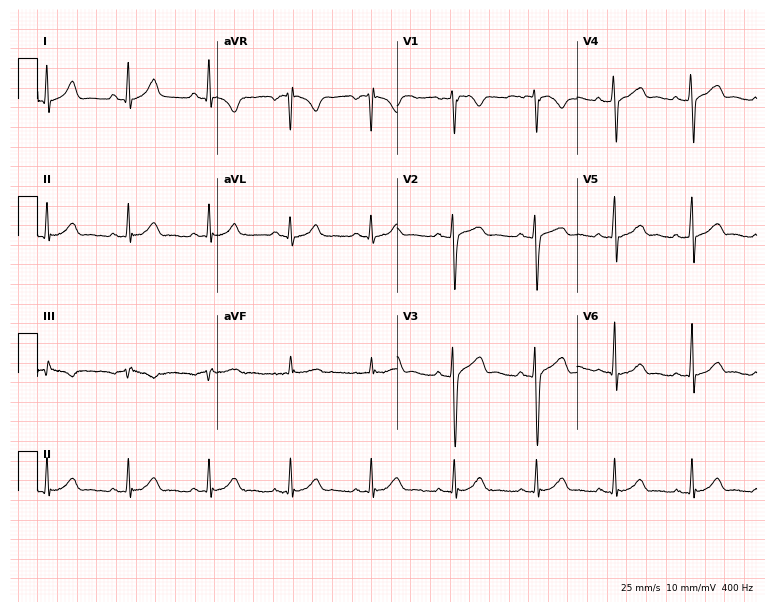
Resting 12-lead electrocardiogram (7.3-second recording at 400 Hz). Patient: a 29-year-old male. Read as a normal ECG.